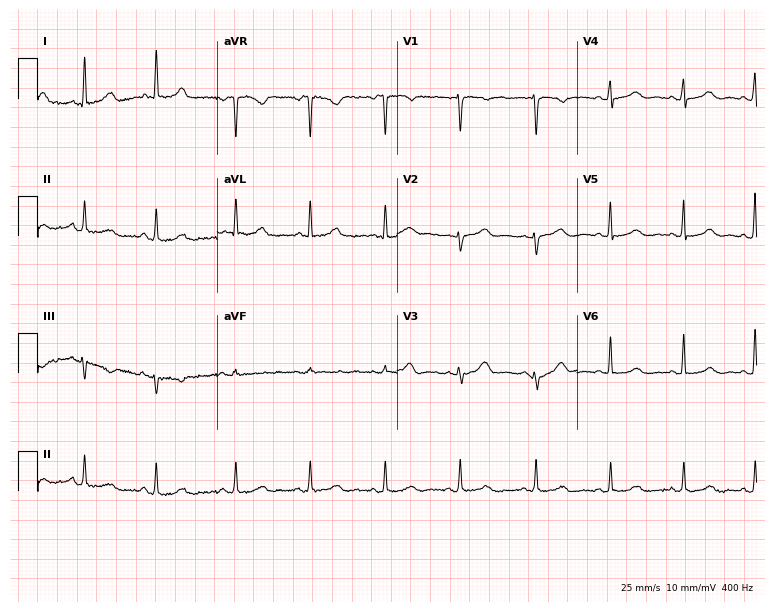
Electrocardiogram (7.3-second recording at 400 Hz), a 48-year-old female. Overall reading on record: normal ECG.